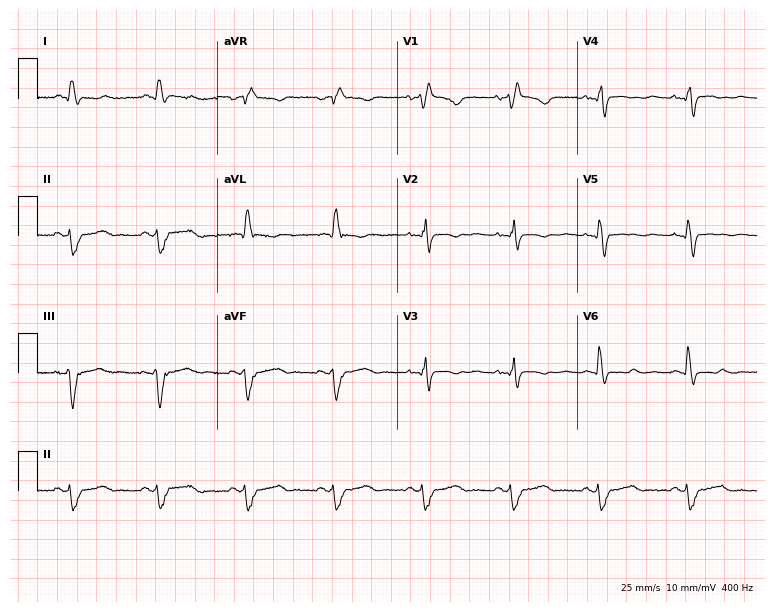
Standard 12-lead ECG recorded from a 54-year-old female. None of these six findings is recorded: first-degree AV block, right bundle branch block (RBBB), left bundle branch block (LBBB), sinus bradycardia, atrial fibrillation (AF), sinus tachycardia.